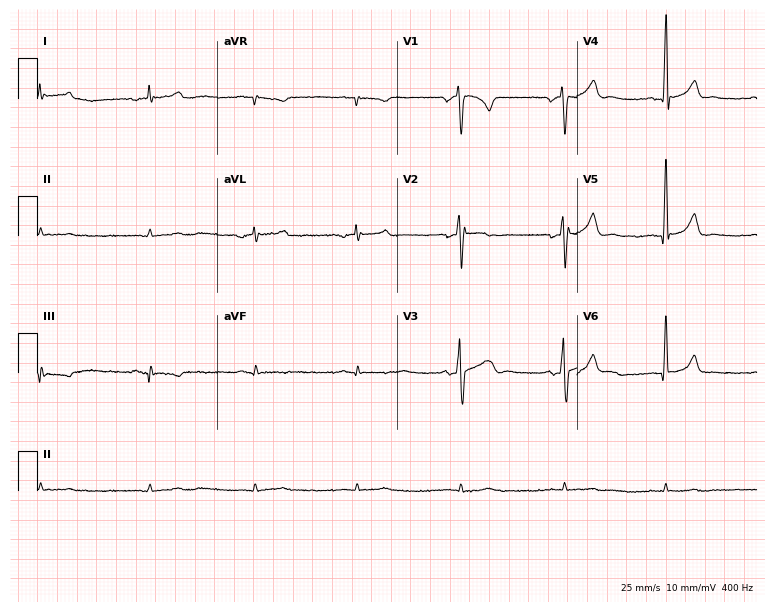
Standard 12-lead ECG recorded from a man, 42 years old. None of these six findings is recorded: first-degree AV block, right bundle branch block (RBBB), left bundle branch block (LBBB), sinus bradycardia, atrial fibrillation (AF), sinus tachycardia. Findings outside these six are not listed.